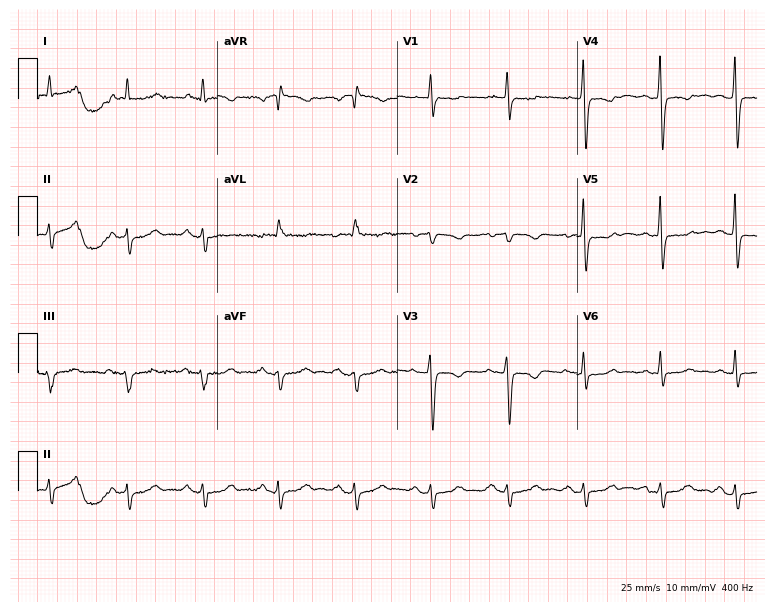
Standard 12-lead ECG recorded from a 65-year-old female patient. None of these six findings is recorded: first-degree AV block, right bundle branch block (RBBB), left bundle branch block (LBBB), sinus bradycardia, atrial fibrillation (AF), sinus tachycardia.